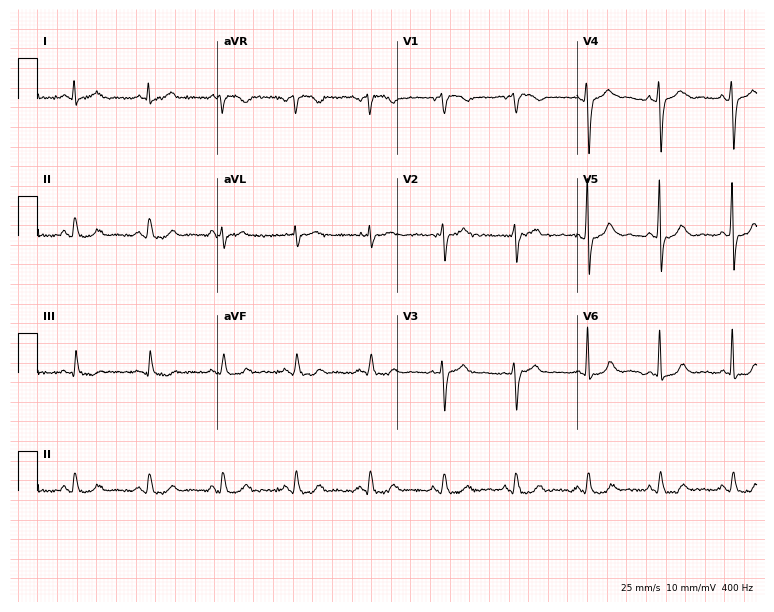
ECG — a 69-year-old female. Labelled as a normal ECG.